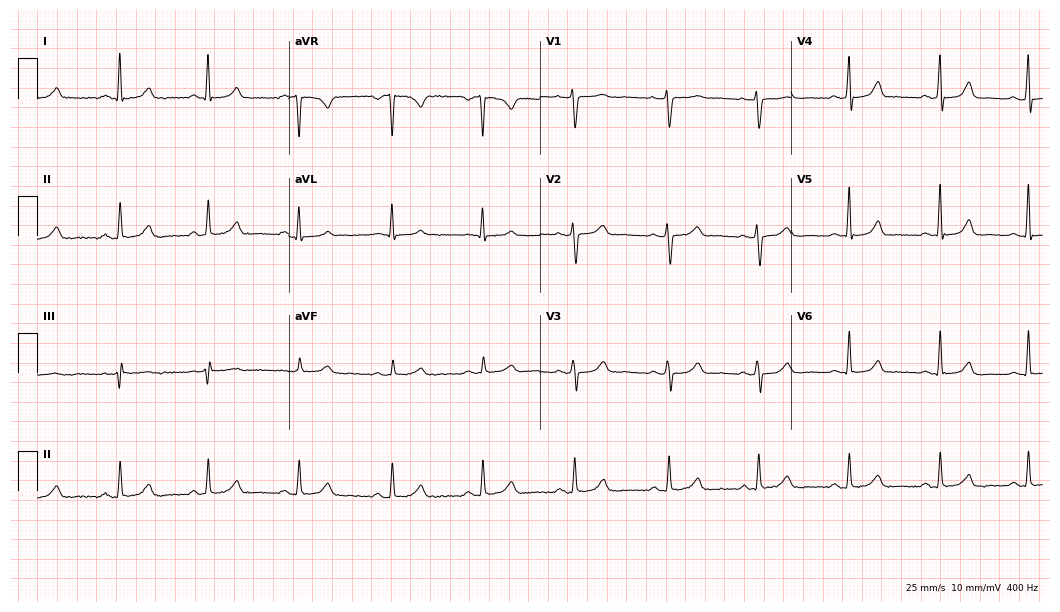
Resting 12-lead electrocardiogram (10.2-second recording at 400 Hz). Patient: a 46-year-old female. Read as a normal ECG.